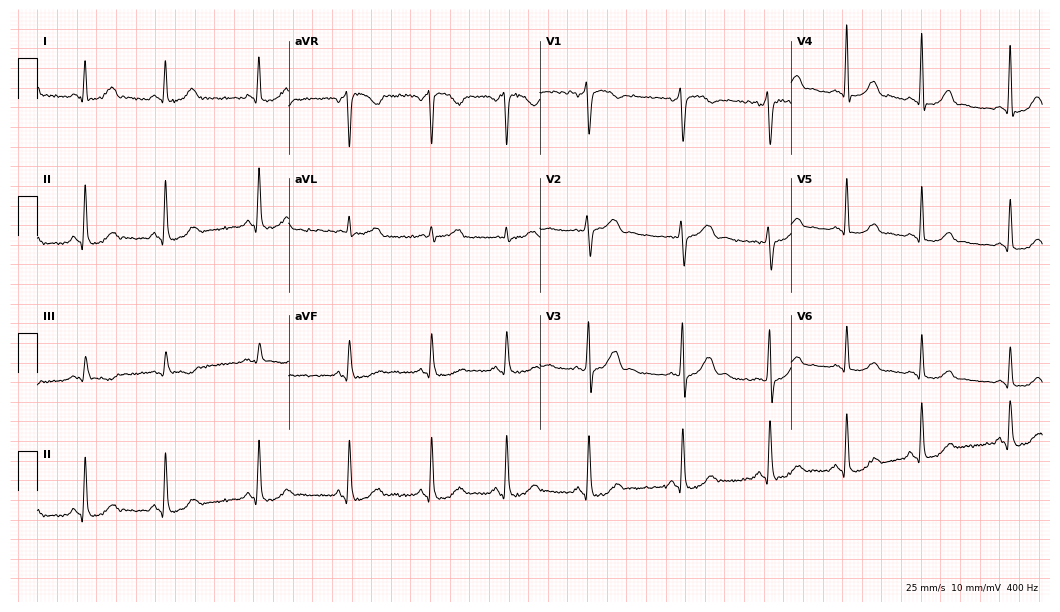
ECG (10.2-second recording at 400 Hz) — a 30-year-old woman. Screened for six findings — first-degree AV block, right bundle branch block, left bundle branch block, sinus bradycardia, atrial fibrillation, sinus tachycardia — none is recorded.